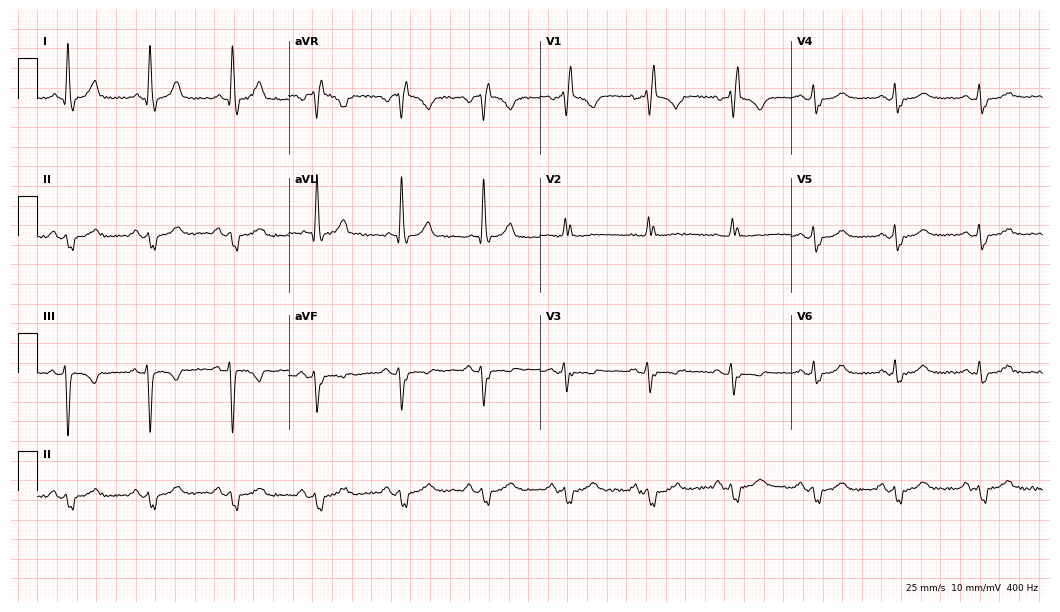
12-lead ECG from a 57-year-old woman (10.2-second recording at 400 Hz). Shows right bundle branch block.